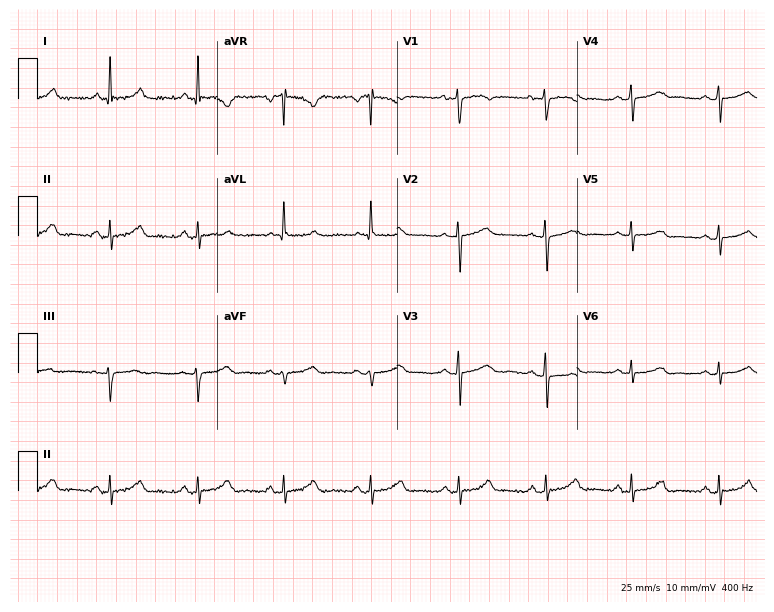
Electrocardiogram, a woman, 69 years old. Overall reading on record: normal ECG.